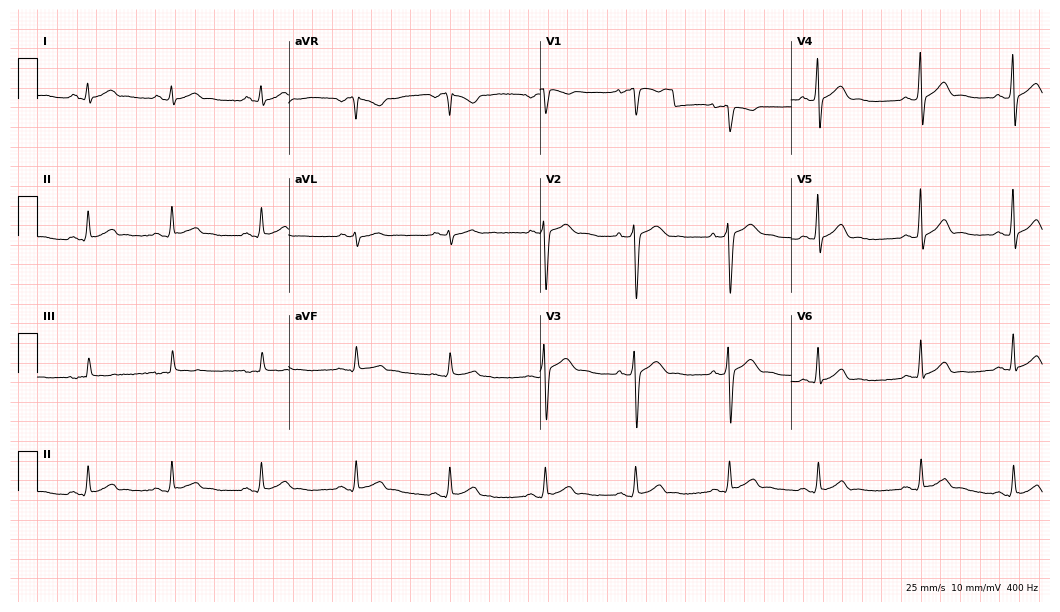
Electrocardiogram, a male, 32 years old. Overall reading on record: normal ECG.